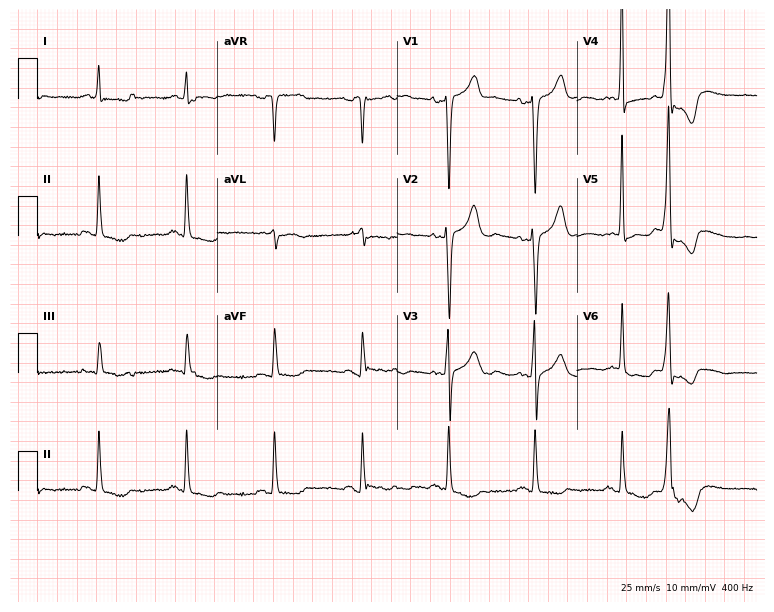
Electrocardiogram, a male patient, 79 years old. Of the six screened findings (first-degree AV block, right bundle branch block, left bundle branch block, sinus bradycardia, atrial fibrillation, sinus tachycardia), none is recorded.